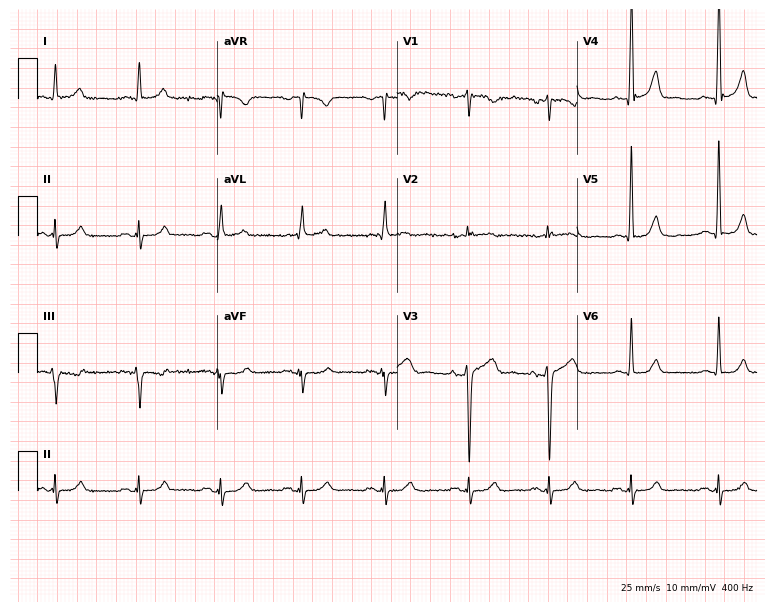
Standard 12-lead ECG recorded from a 48-year-old male. None of these six findings is recorded: first-degree AV block, right bundle branch block (RBBB), left bundle branch block (LBBB), sinus bradycardia, atrial fibrillation (AF), sinus tachycardia.